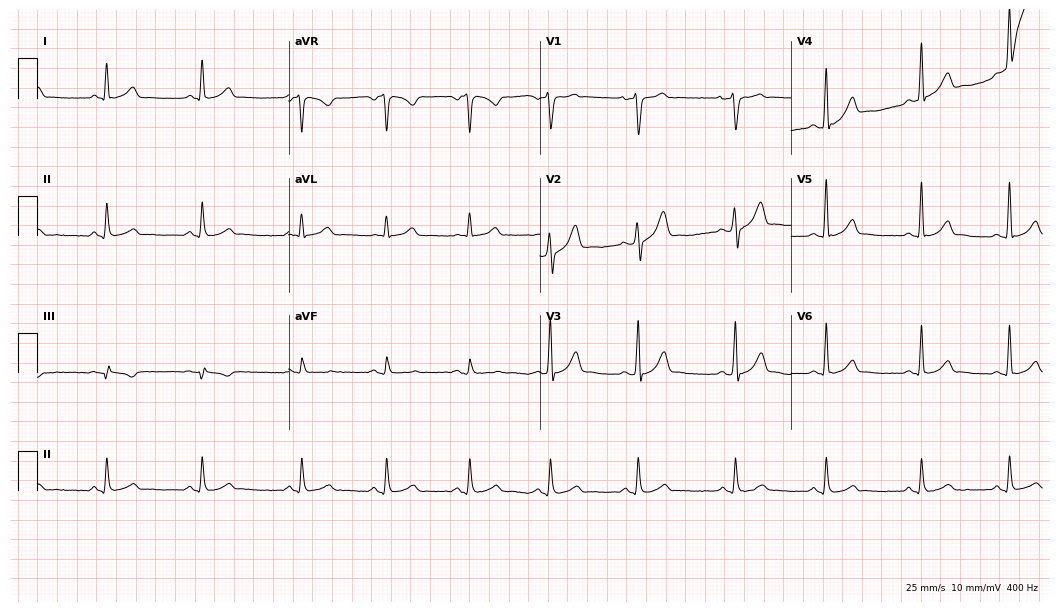
ECG (10.2-second recording at 400 Hz) — a male, 37 years old. Labelled as a normal ECG.